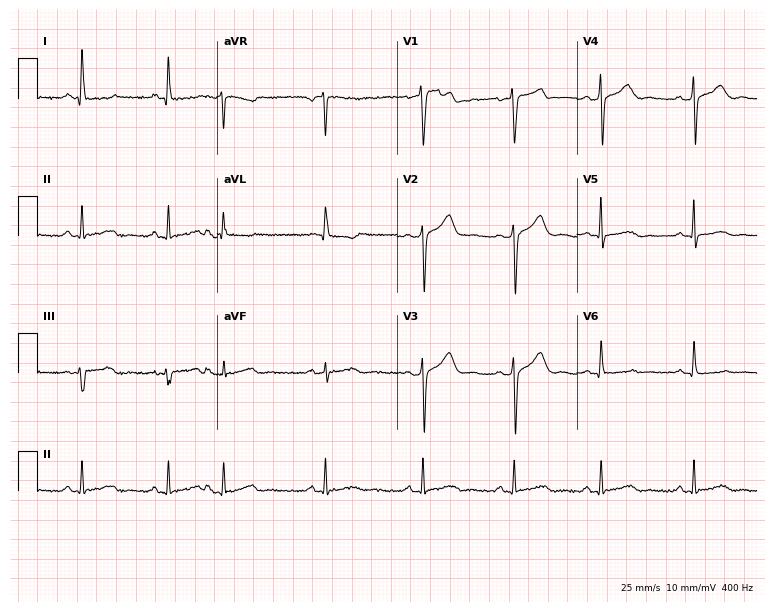
ECG (7.3-second recording at 400 Hz) — a 43-year-old female patient. Screened for six findings — first-degree AV block, right bundle branch block, left bundle branch block, sinus bradycardia, atrial fibrillation, sinus tachycardia — none is recorded.